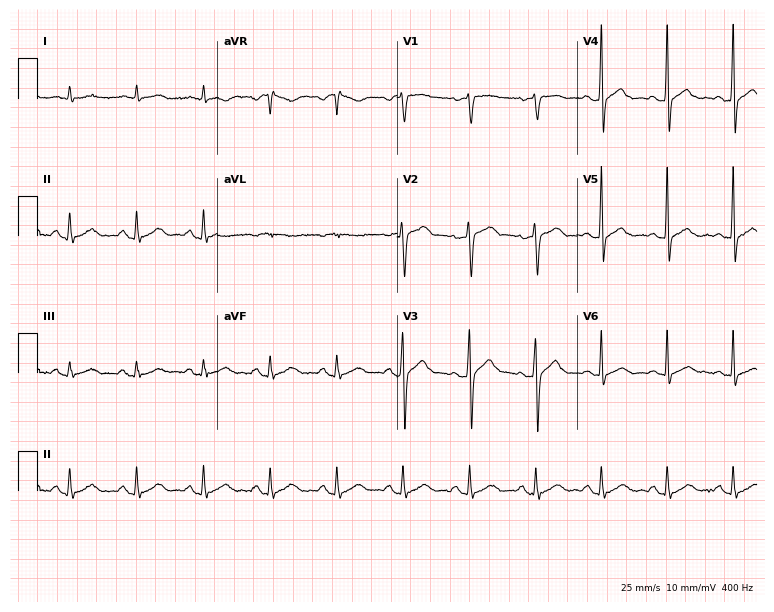
Resting 12-lead electrocardiogram. Patient: a man, 70 years old. Read as a normal ECG.